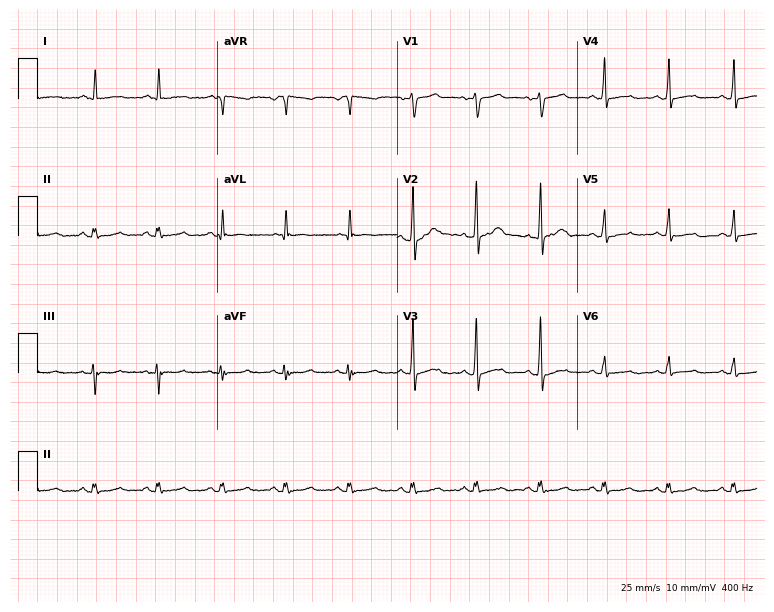
12-lead ECG from a male, 61 years old. No first-degree AV block, right bundle branch block, left bundle branch block, sinus bradycardia, atrial fibrillation or sinus tachycardia recorded for this tracing.